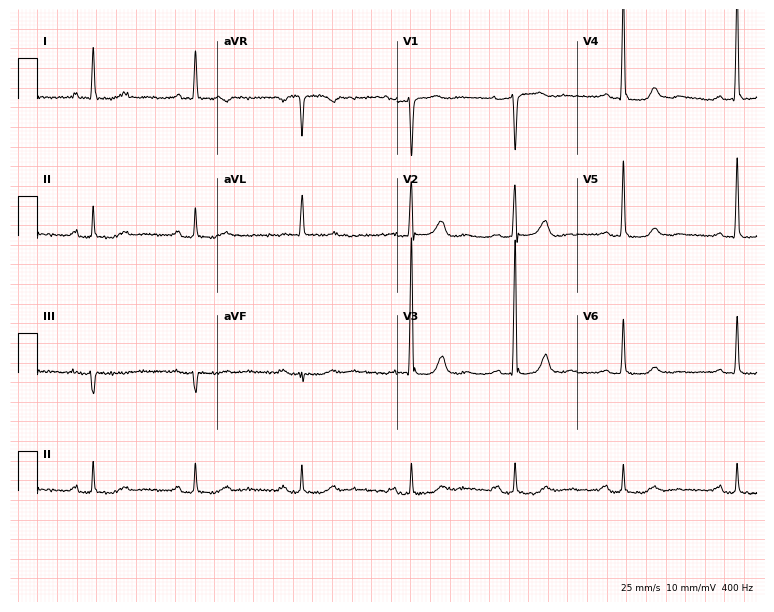
12-lead ECG from a female, 50 years old. Screened for six findings — first-degree AV block, right bundle branch block, left bundle branch block, sinus bradycardia, atrial fibrillation, sinus tachycardia — none is recorded.